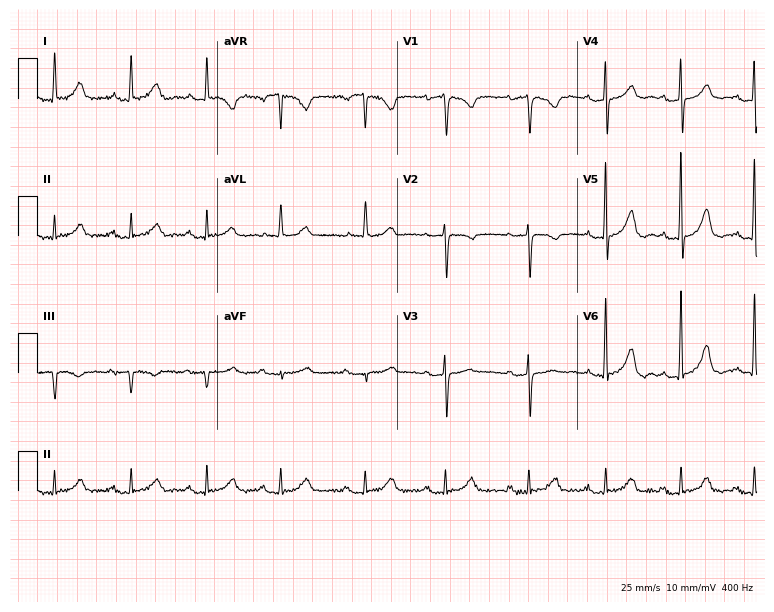
Standard 12-lead ECG recorded from a female, 66 years old. Read as a normal ECG.